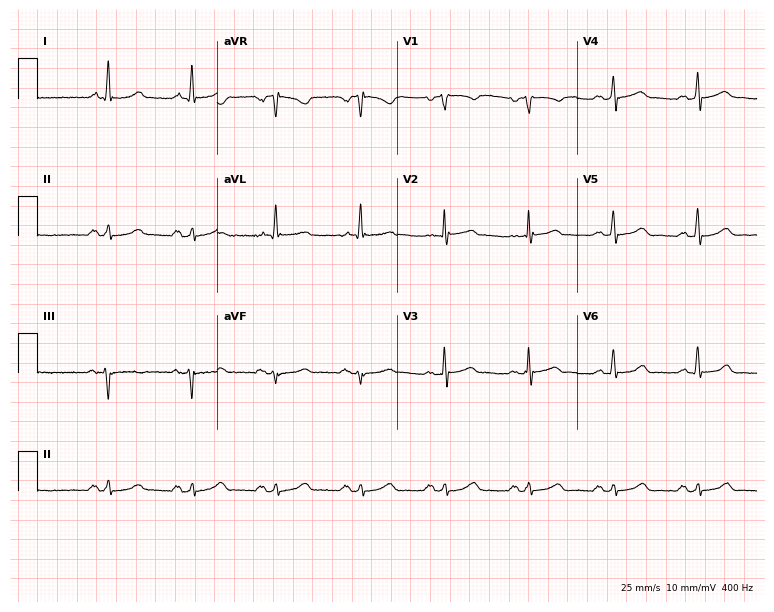
12-lead ECG from a man, 78 years old (7.3-second recording at 400 Hz). Recorded interpretation: within normal limits.